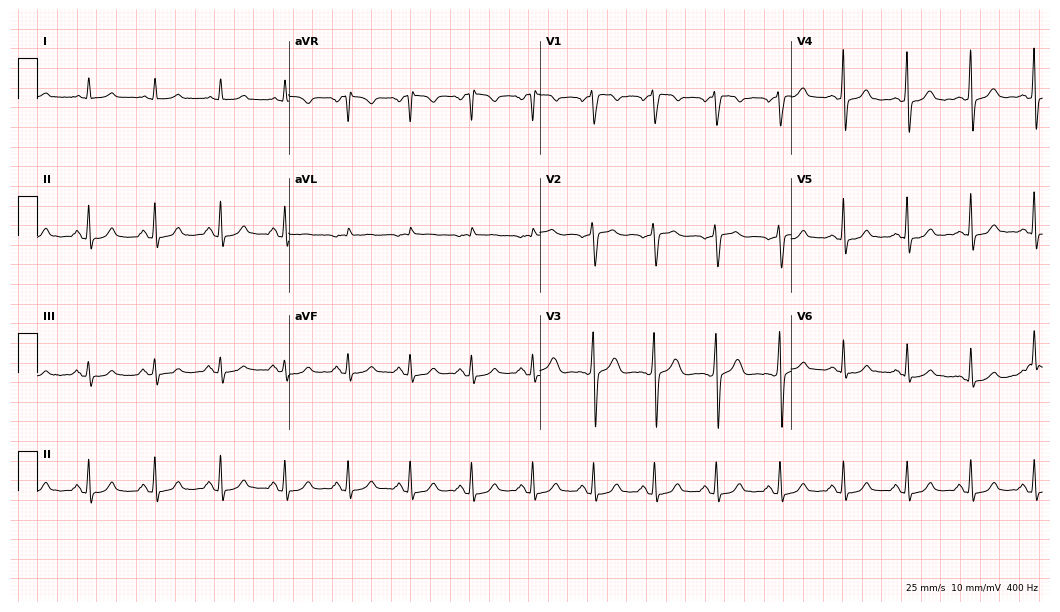
Resting 12-lead electrocardiogram. Patient: a woman, 41 years old. Read as a normal ECG.